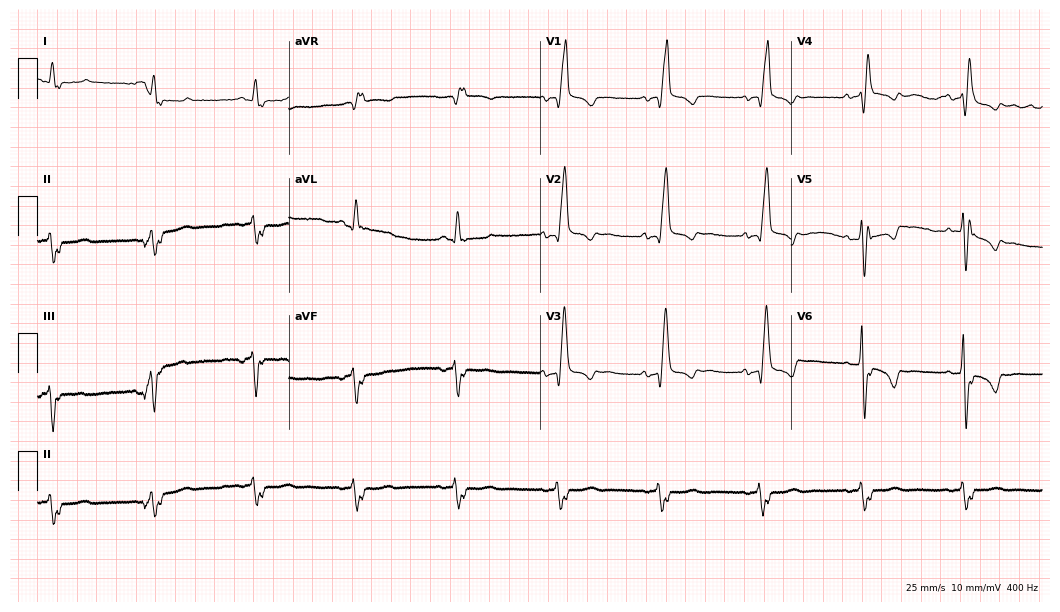
Electrocardiogram, an 82-year-old man. Interpretation includes right bundle branch block, left bundle branch block.